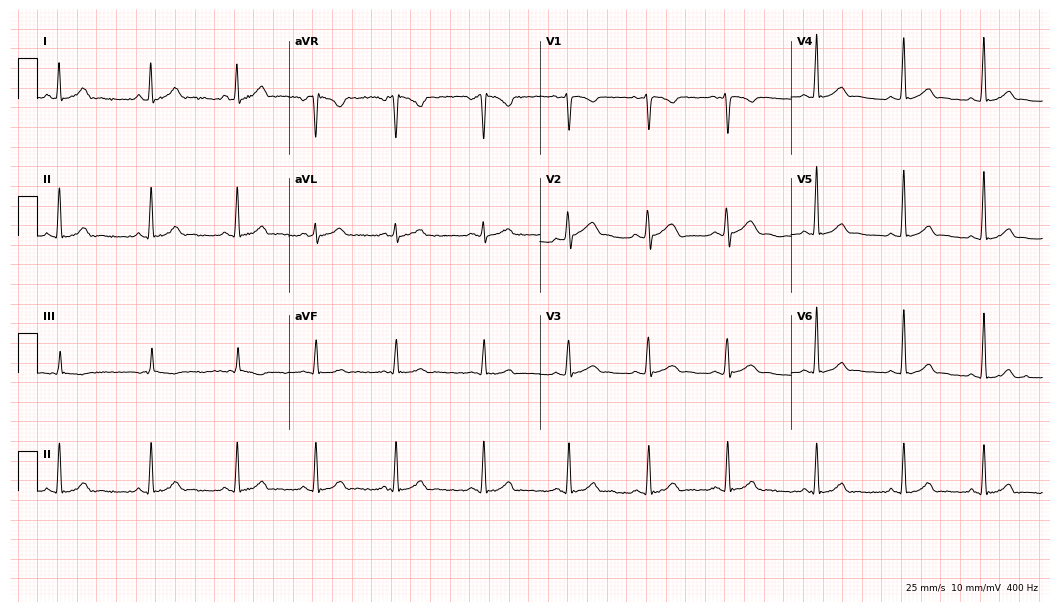
12-lead ECG from a 17-year-old male. Labelled as a normal ECG.